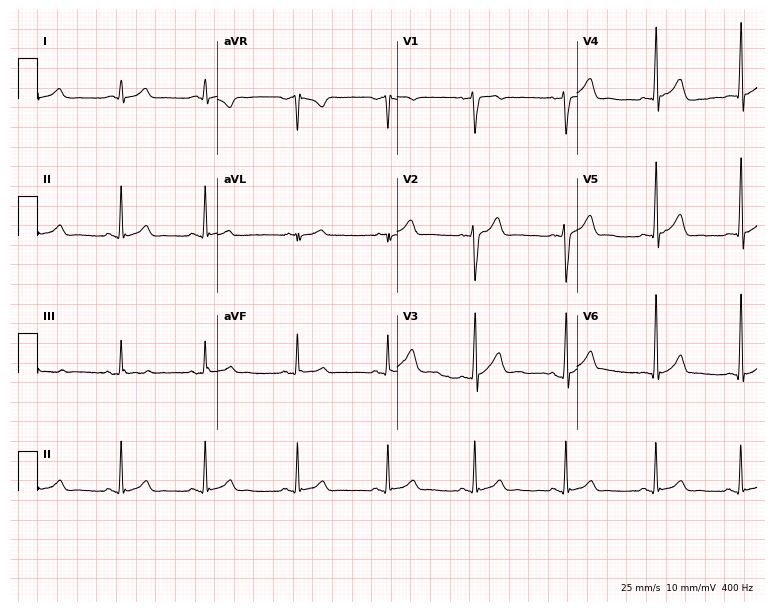
12-lead ECG from a male patient, 25 years old. No first-degree AV block, right bundle branch block, left bundle branch block, sinus bradycardia, atrial fibrillation or sinus tachycardia recorded for this tracing.